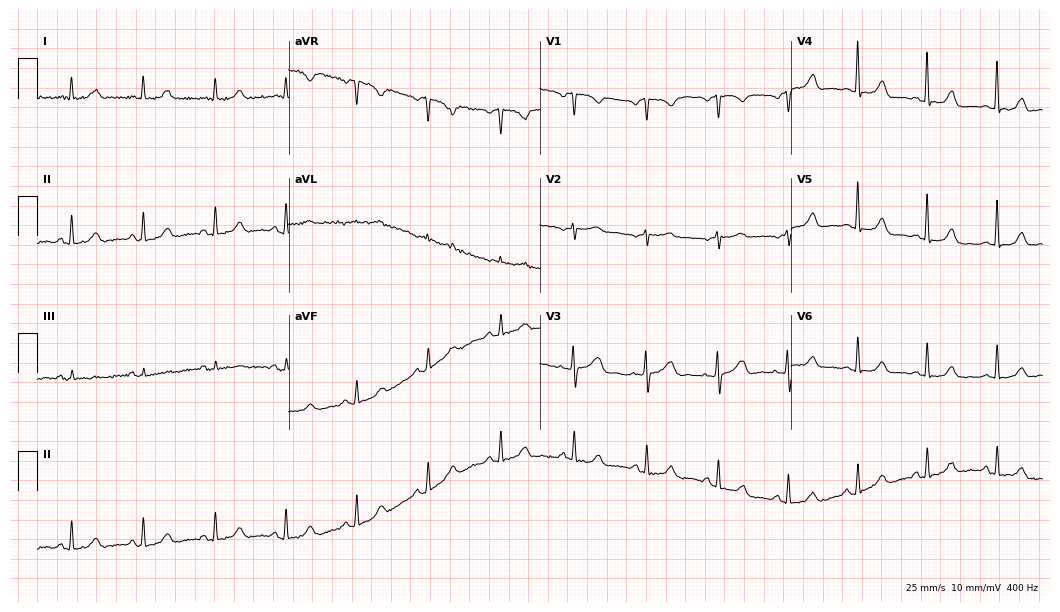
Resting 12-lead electrocardiogram. Patient: a female, 72 years old. Read as a normal ECG.